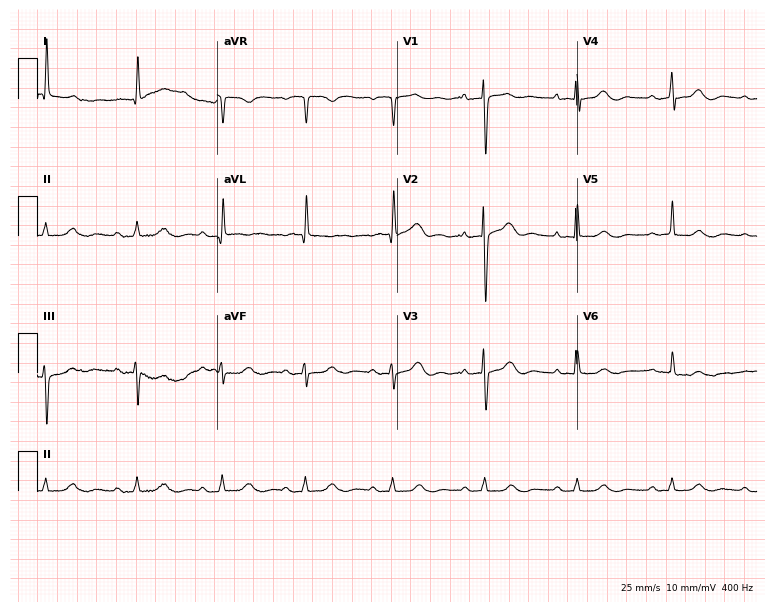
ECG — an 80-year-old female. Findings include first-degree AV block.